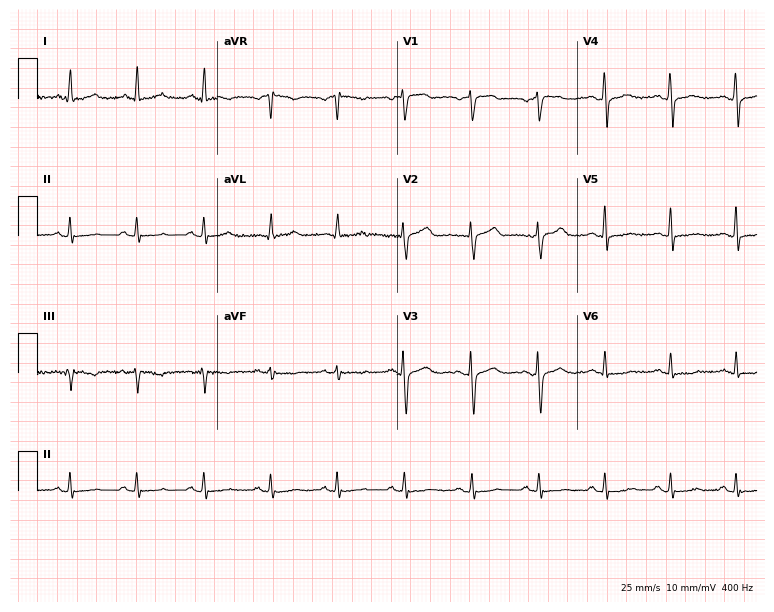
12-lead ECG from a 70-year-old woman. Screened for six findings — first-degree AV block, right bundle branch block, left bundle branch block, sinus bradycardia, atrial fibrillation, sinus tachycardia — none is recorded.